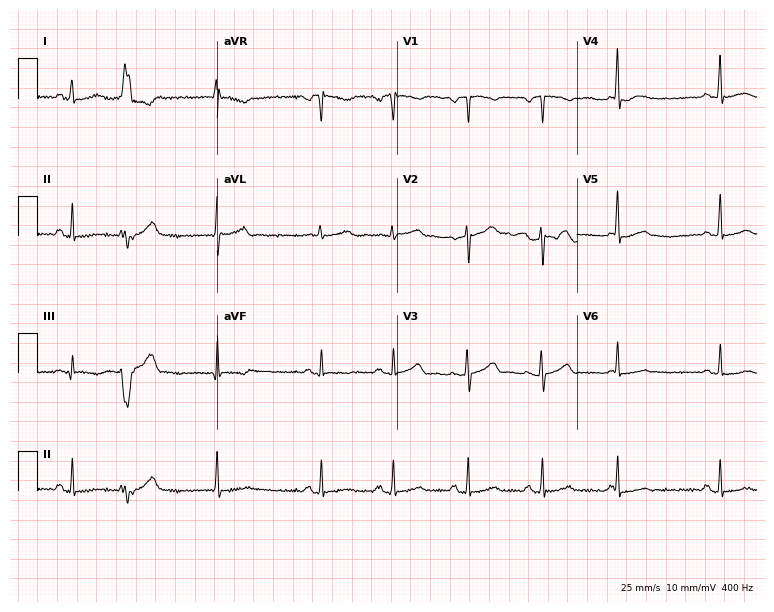
Electrocardiogram (7.3-second recording at 400 Hz), a female, 52 years old. Of the six screened findings (first-degree AV block, right bundle branch block, left bundle branch block, sinus bradycardia, atrial fibrillation, sinus tachycardia), none is recorded. Other findings, if any, are not listed.